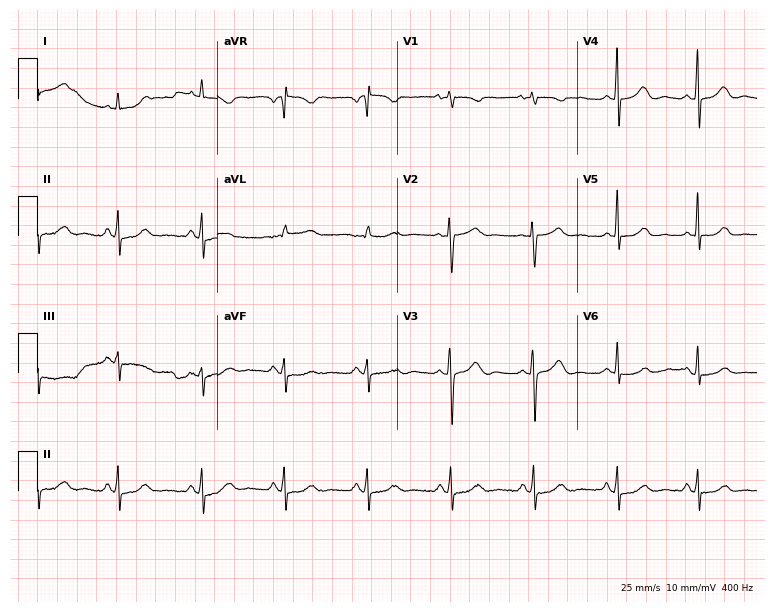
Resting 12-lead electrocardiogram (7.3-second recording at 400 Hz). Patient: a woman, 61 years old. None of these six findings is recorded: first-degree AV block, right bundle branch block (RBBB), left bundle branch block (LBBB), sinus bradycardia, atrial fibrillation (AF), sinus tachycardia.